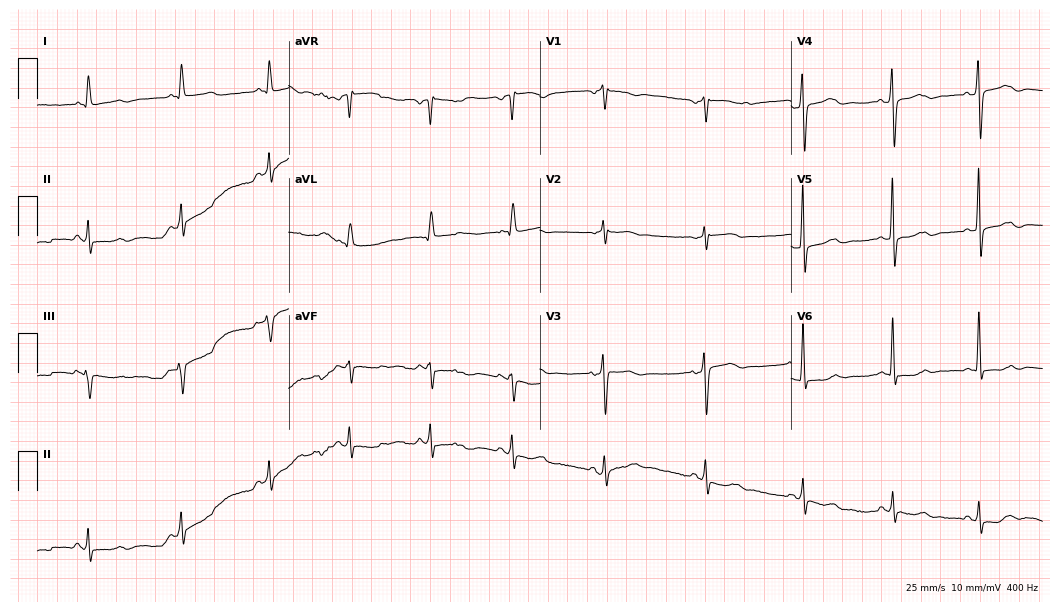
Resting 12-lead electrocardiogram (10.2-second recording at 400 Hz). Patient: a 74-year-old female. None of these six findings is recorded: first-degree AV block, right bundle branch block, left bundle branch block, sinus bradycardia, atrial fibrillation, sinus tachycardia.